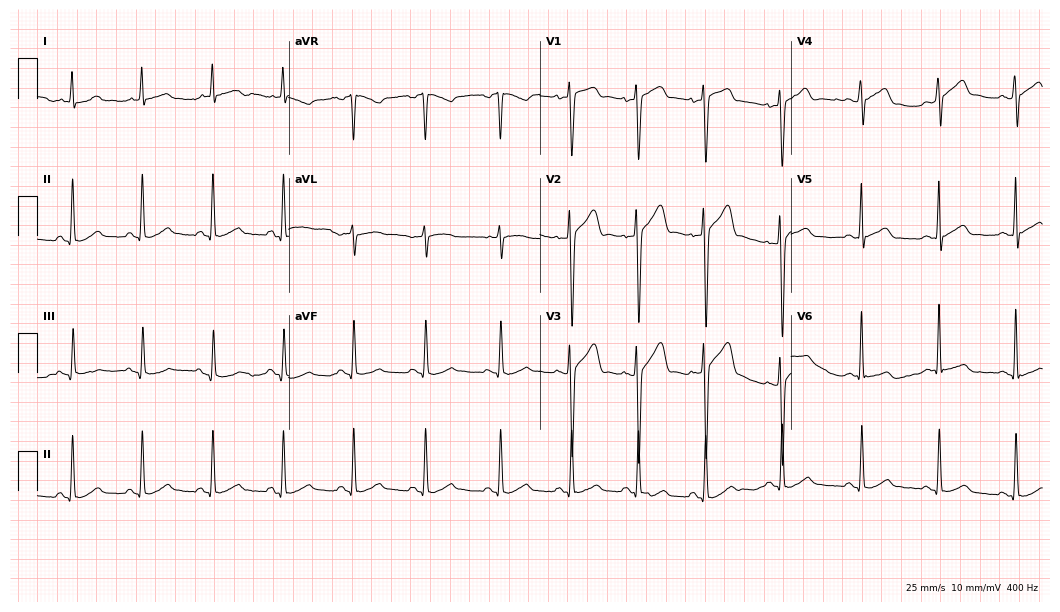
ECG — a 23-year-old male. Labelled as a normal ECG.